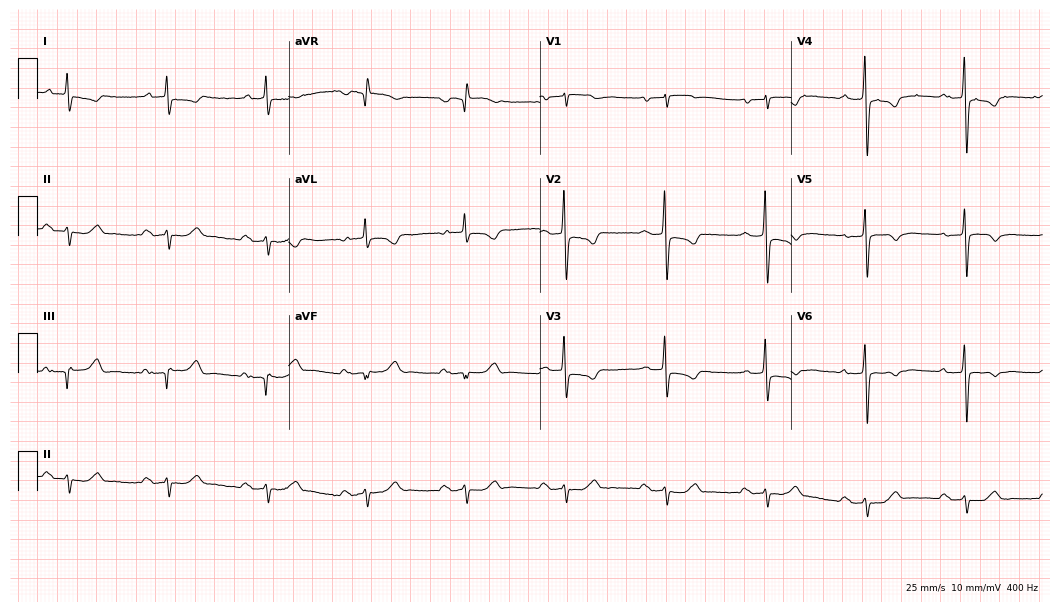
ECG — a male patient, 78 years old. Findings include first-degree AV block.